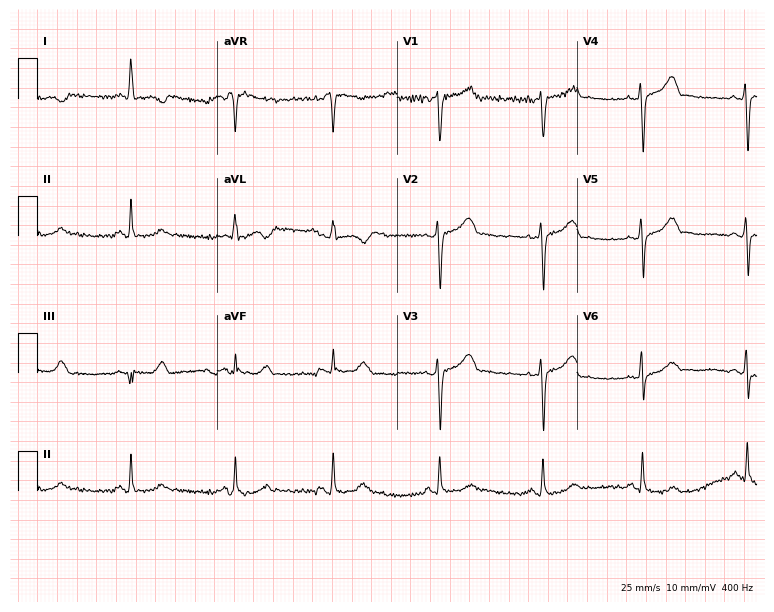
Electrocardiogram, a 52-year-old woman. Overall reading on record: normal ECG.